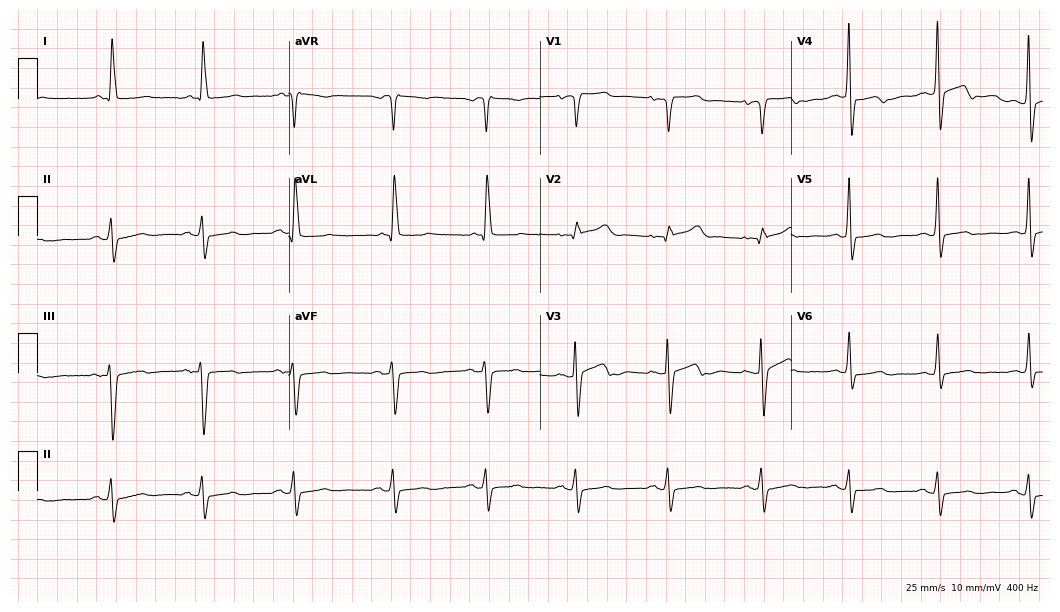
ECG — a 78-year-old woman. Screened for six findings — first-degree AV block, right bundle branch block (RBBB), left bundle branch block (LBBB), sinus bradycardia, atrial fibrillation (AF), sinus tachycardia — none is recorded. Other findings, if any, are not listed.